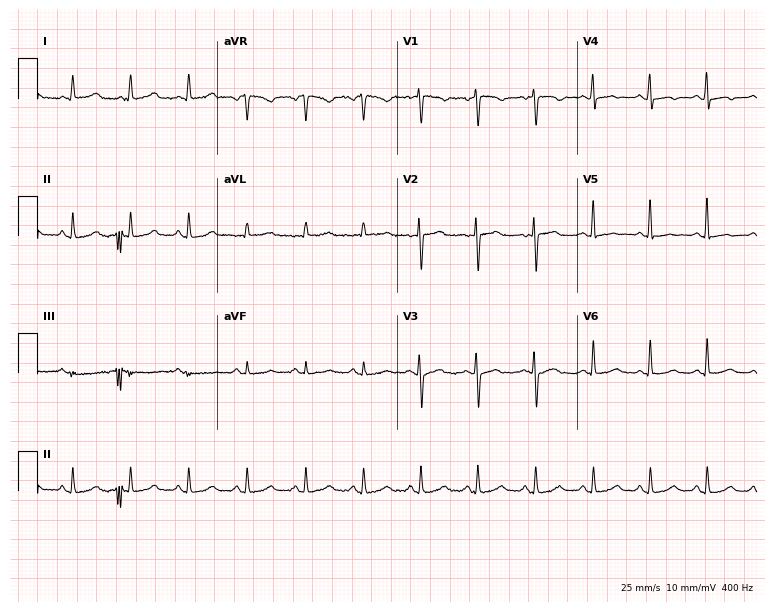
ECG — a 44-year-old woman. Findings include sinus tachycardia (a sinus rate of 100 beats per minute or more).